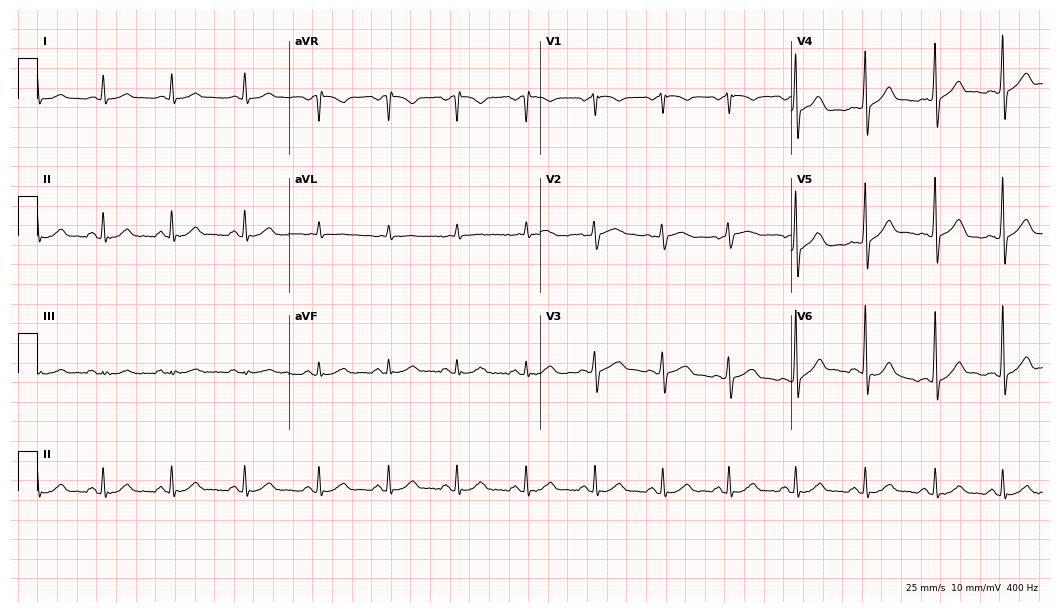
ECG — a man, 62 years old. Labelled as a normal ECG.